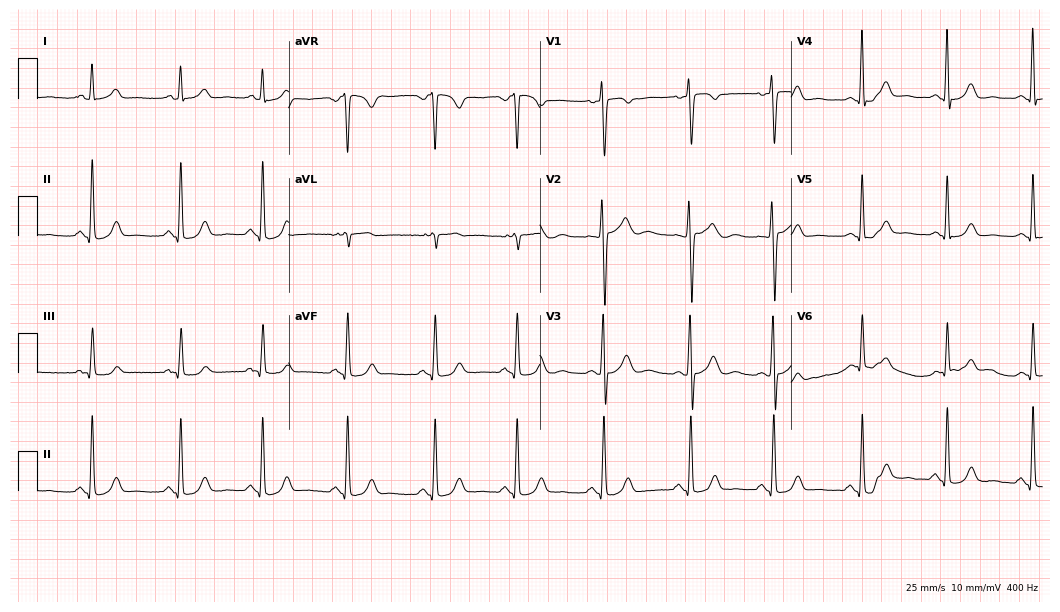
Electrocardiogram (10.2-second recording at 400 Hz), a female, 39 years old. Overall reading on record: normal ECG.